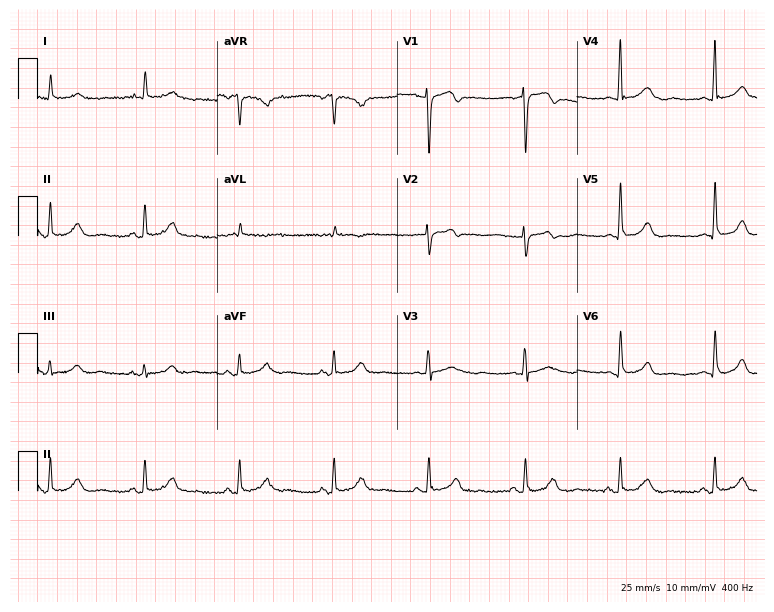
Standard 12-lead ECG recorded from a 76-year-old male patient. None of these six findings is recorded: first-degree AV block, right bundle branch block, left bundle branch block, sinus bradycardia, atrial fibrillation, sinus tachycardia.